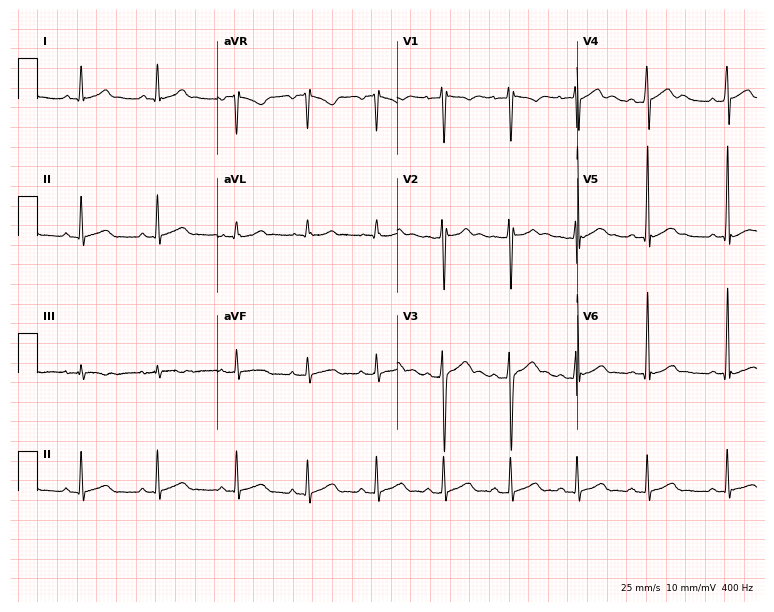
Electrocardiogram, a male, 17 years old. Overall reading on record: normal ECG.